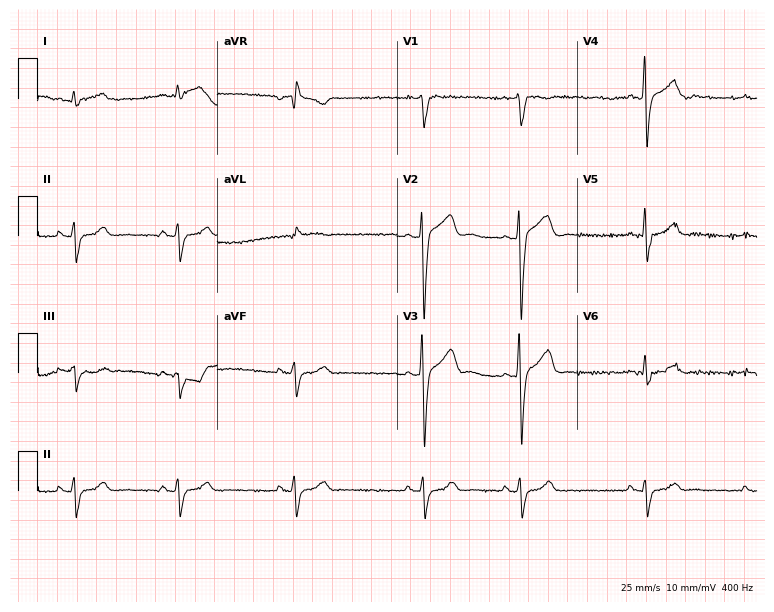
Resting 12-lead electrocardiogram. Patient: a 26-year-old male. The tracing shows left bundle branch block (LBBB).